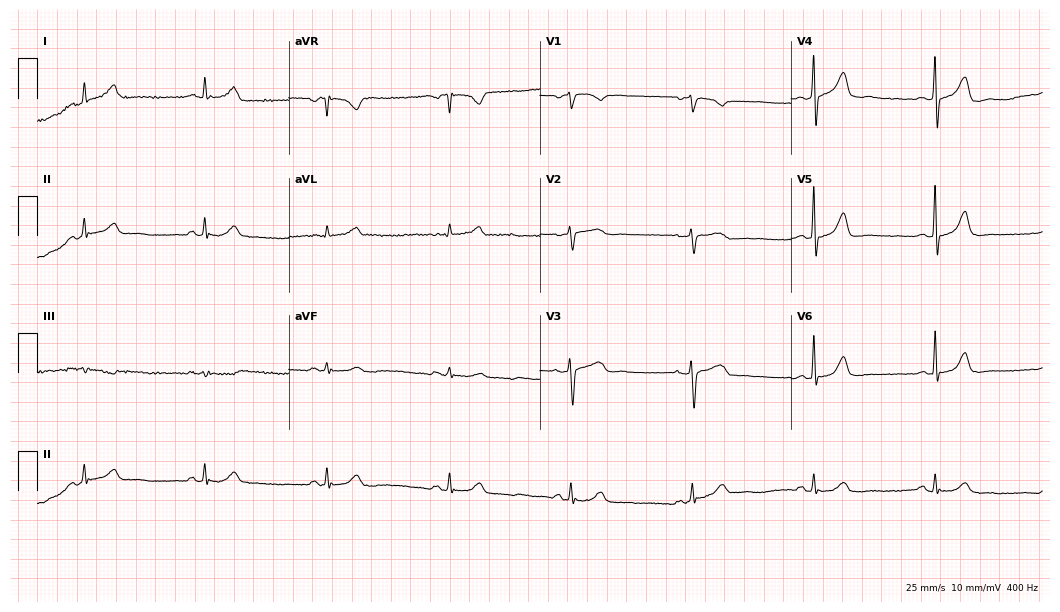
12-lead ECG from a female, 63 years old (10.2-second recording at 400 Hz). Shows sinus bradycardia (a sinus rate of 50 beats per minute or less).